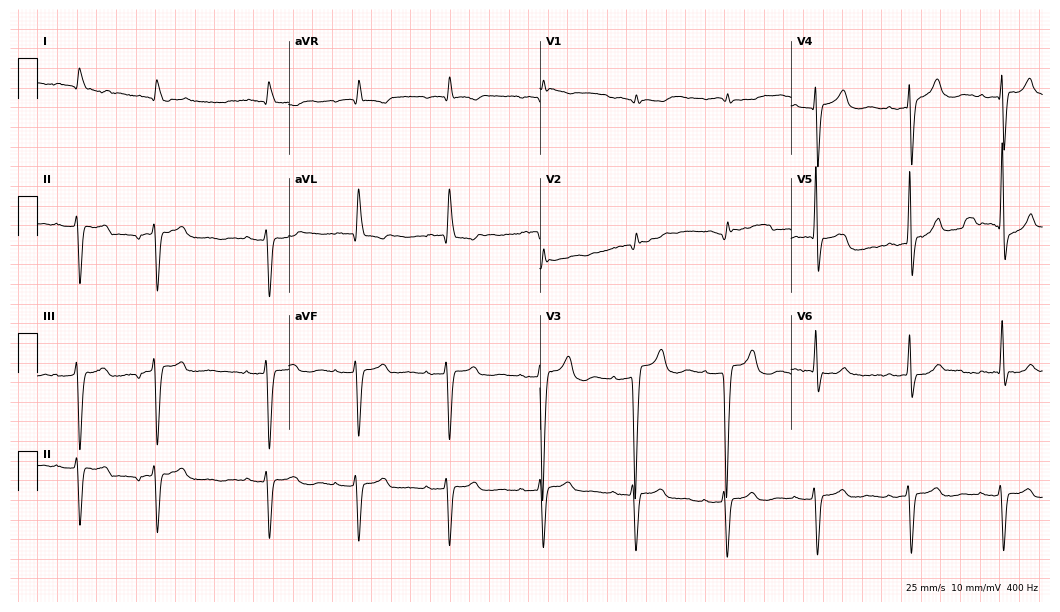
12-lead ECG from a man, 73 years old (10.2-second recording at 400 Hz). No first-degree AV block, right bundle branch block (RBBB), left bundle branch block (LBBB), sinus bradycardia, atrial fibrillation (AF) or sinus tachycardia recorded for this tracing.